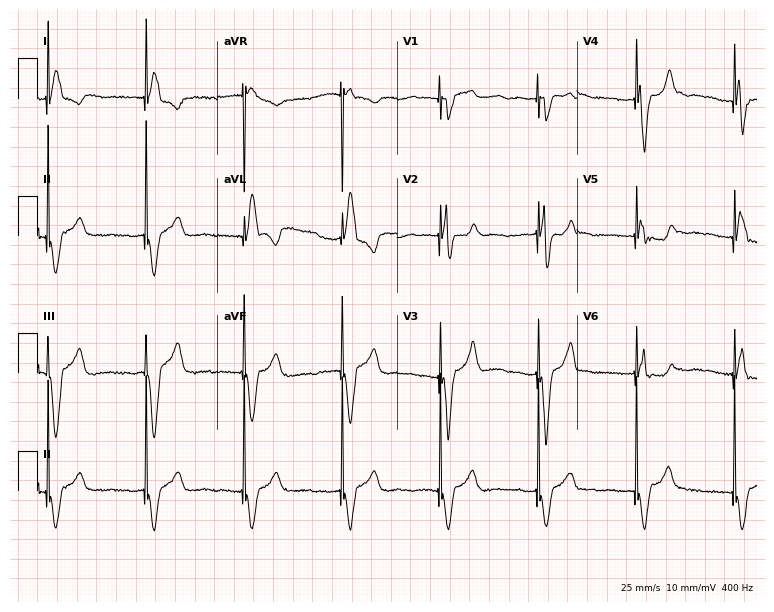
12-lead ECG from a woman, 82 years old. No first-degree AV block, right bundle branch block, left bundle branch block, sinus bradycardia, atrial fibrillation or sinus tachycardia recorded for this tracing. Findings outside these six are not listed.